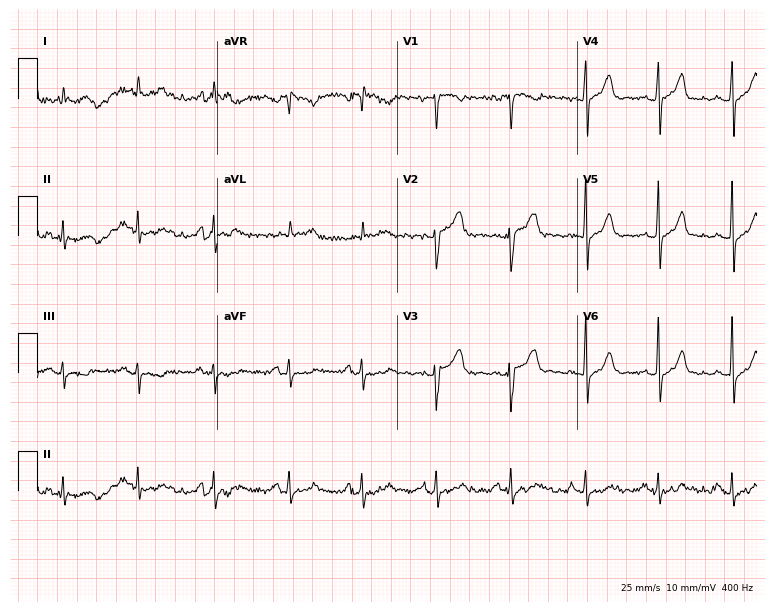
Standard 12-lead ECG recorded from a female, 42 years old (7.3-second recording at 400 Hz). None of these six findings is recorded: first-degree AV block, right bundle branch block, left bundle branch block, sinus bradycardia, atrial fibrillation, sinus tachycardia.